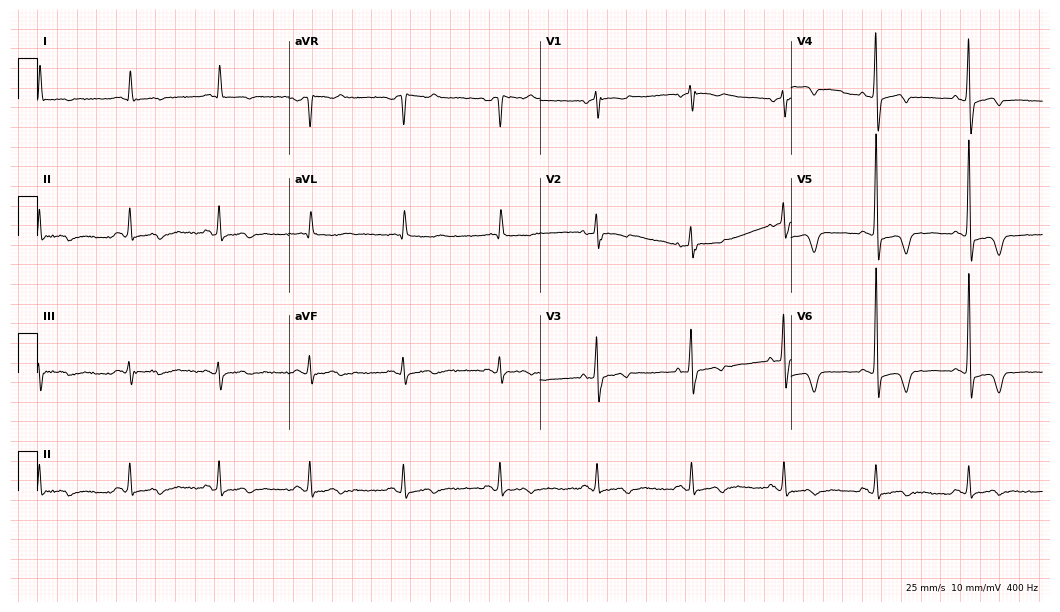
Electrocardiogram, a male, 86 years old. Of the six screened findings (first-degree AV block, right bundle branch block (RBBB), left bundle branch block (LBBB), sinus bradycardia, atrial fibrillation (AF), sinus tachycardia), none is recorded. Other findings, if any, are not listed.